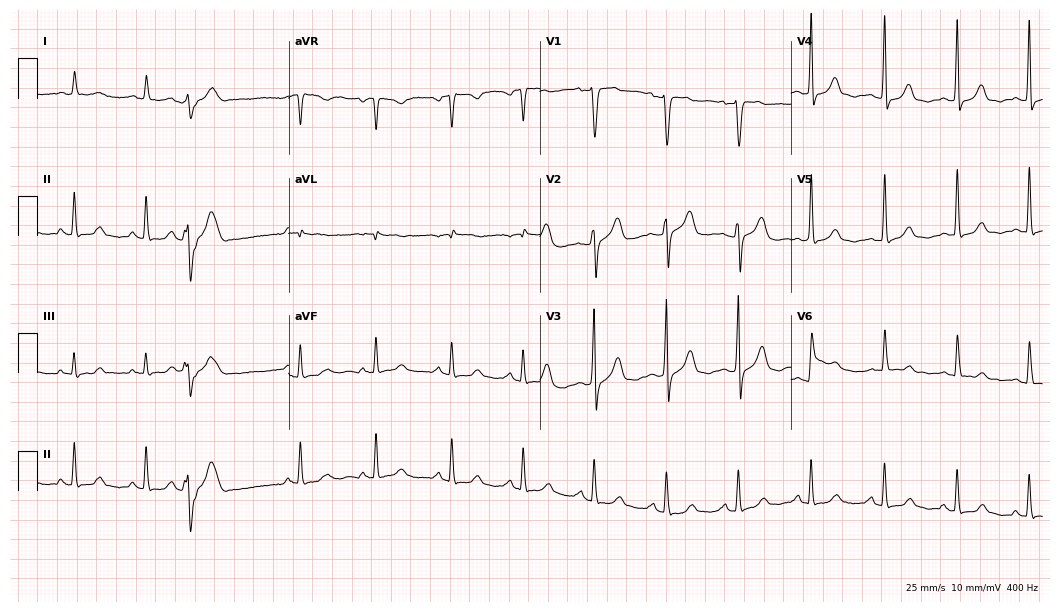
Standard 12-lead ECG recorded from a 76-year-old woman. None of these six findings is recorded: first-degree AV block, right bundle branch block, left bundle branch block, sinus bradycardia, atrial fibrillation, sinus tachycardia. Findings outside these six are not listed.